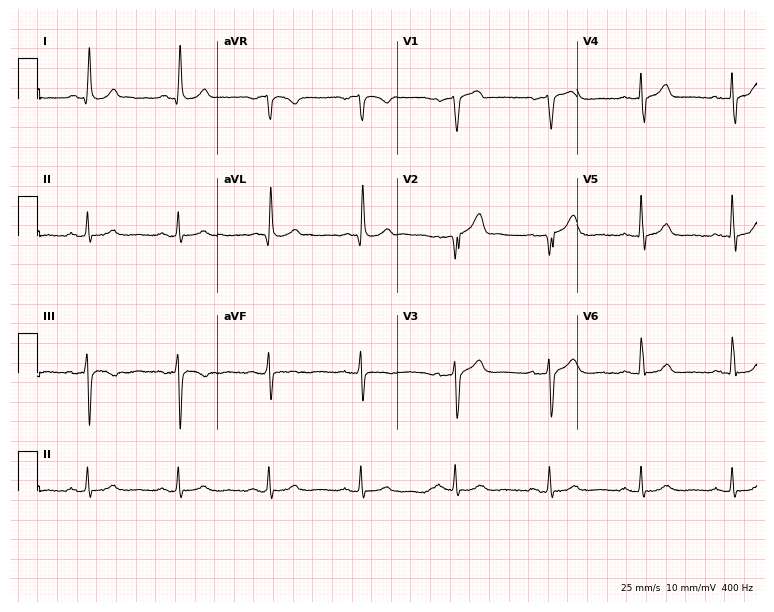
12-lead ECG from a male patient, 61 years old. Screened for six findings — first-degree AV block, right bundle branch block, left bundle branch block, sinus bradycardia, atrial fibrillation, sinus tachycardia — none is recorded. Findings outside these six are not listed.